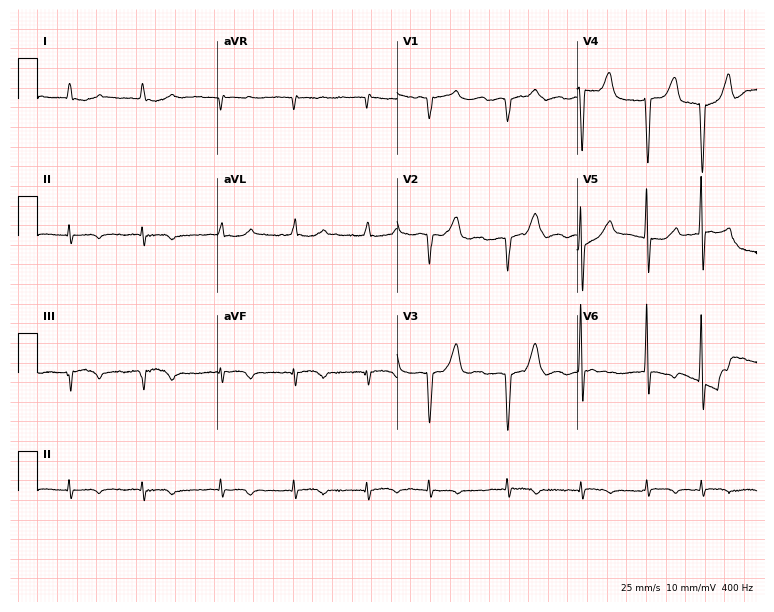
Electrocardiogram, a woman, 72 years old. Interpretation includes atrial fibrillation.